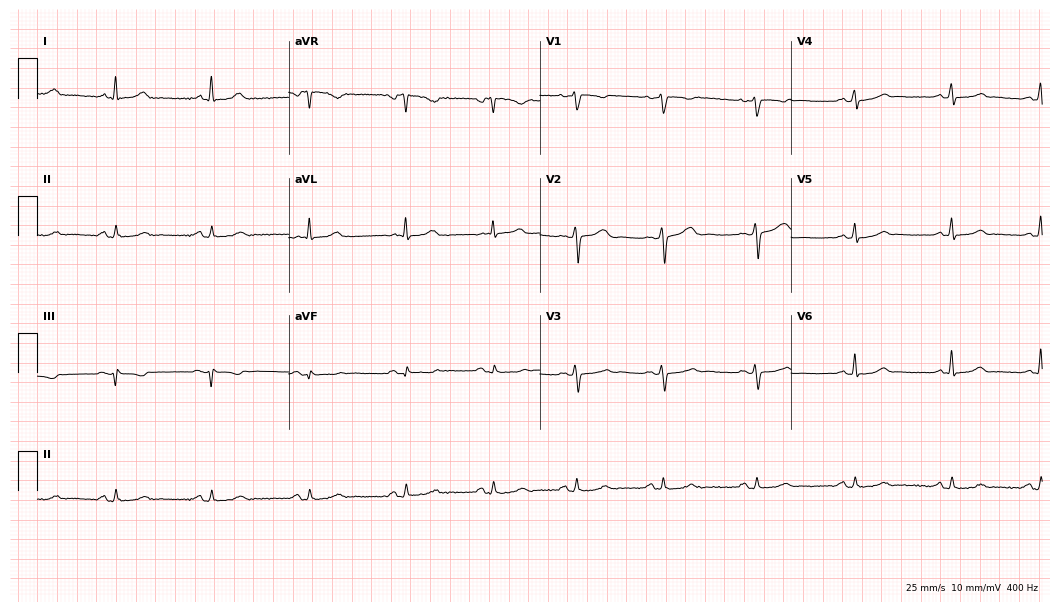
12-lead ECG from a 43-year-old woman. Recorded interpretation: within normal limits.